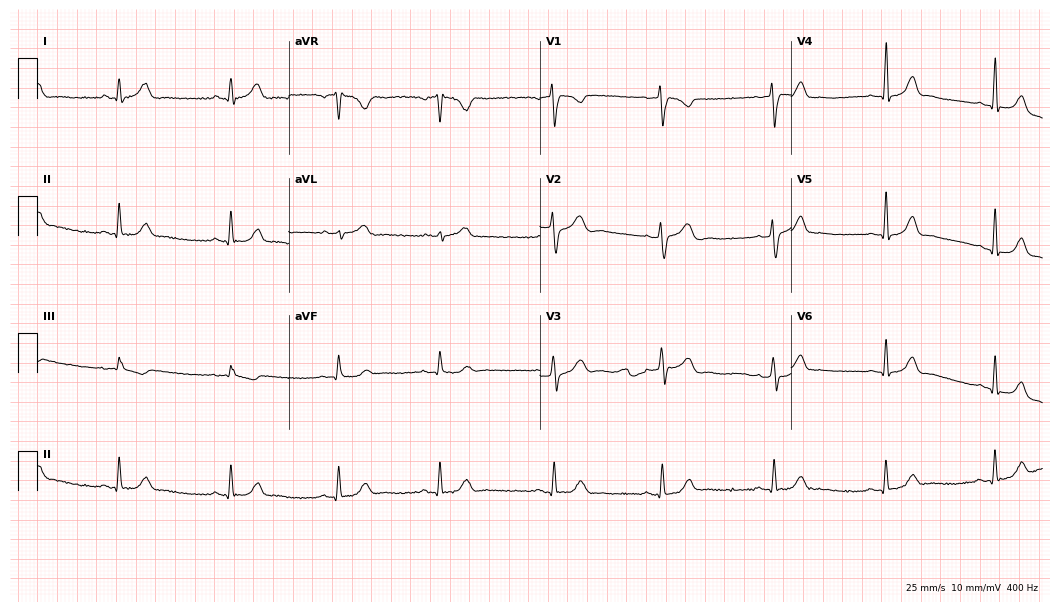
ECG — a woman, 30 years old. Labelled as a normal ECG.